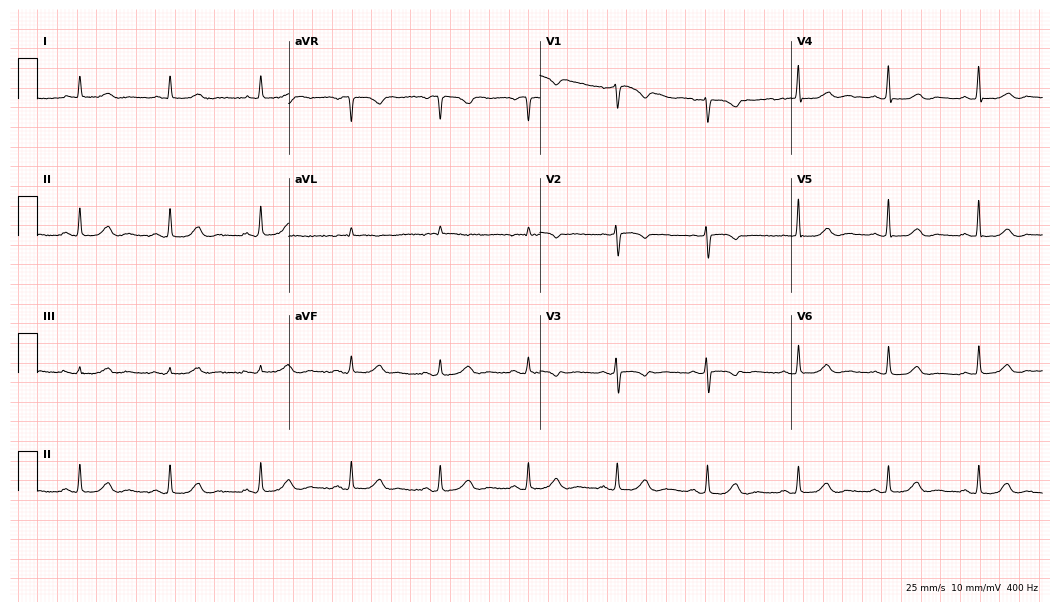
Electrocardiogram, a female patient, 55 years old. Overall reading on record: normal ECG.